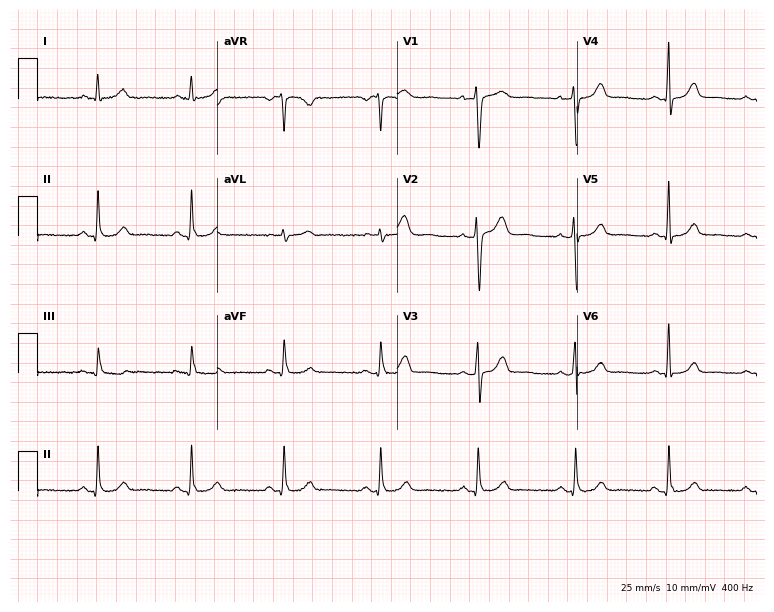
ECG (7.3-second recording at 400 Hz) — a 42-year-old female. Labelled as a normal ECG.